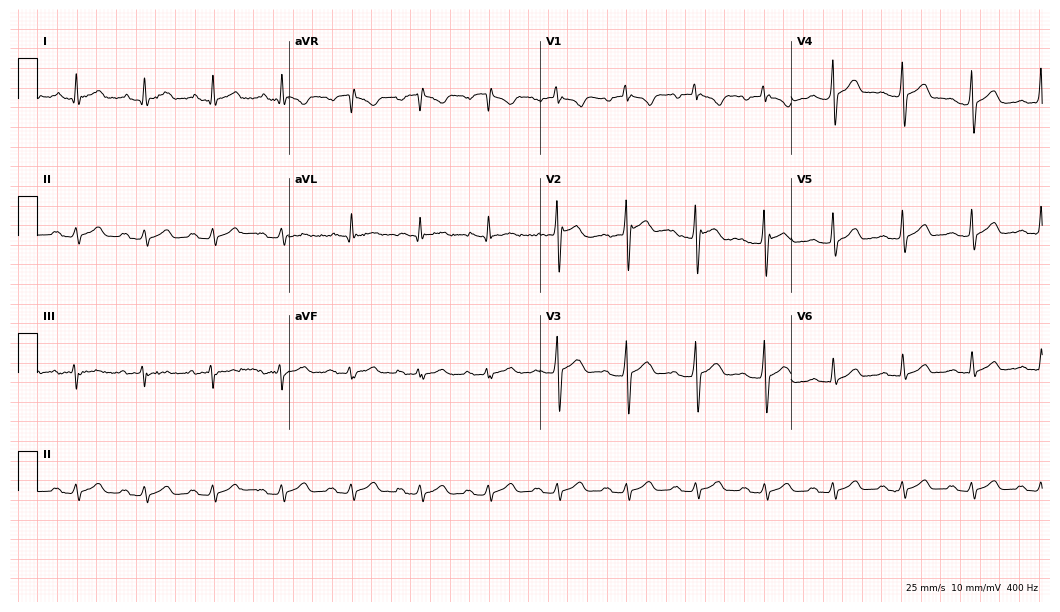
ECG — a 43-year-old male patient. Screened for six findings — first-degree AV block, right bundle branch block, left bundle branch block, sinus bradycardia, atrial fibrillation, sinus tachycardia — none is recorded. Only these six findings were labelled.